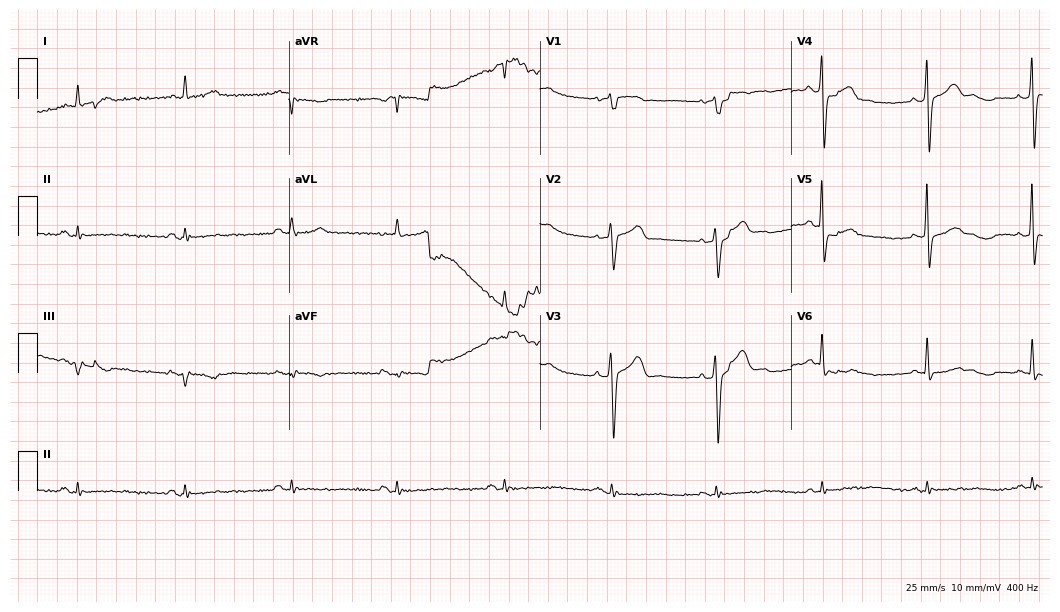
Resting 12-lead electrocardiogram (10.2-second recording at 400 Hz). Patient: a male, 63 years old. The tracing shows sinus bradycardia (a sinus rate of 50 beats per minute or less).